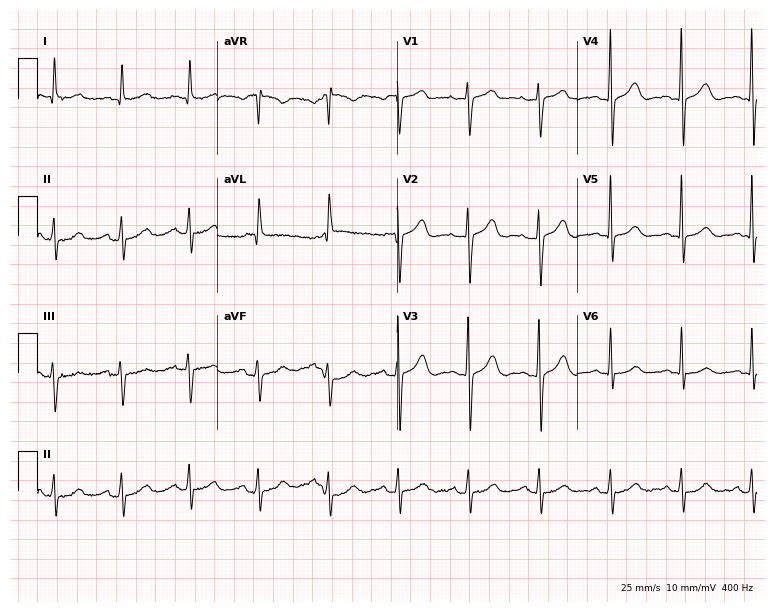
12-lead ECG from a 78-year-old female. Screened for six findings — first-degree AV block, right bundle branch block (RBBB), left bundle branch block (LBBB), sinus bradycardia, atrial fibrillation (AF), sinus tachycardia — none is recorded.